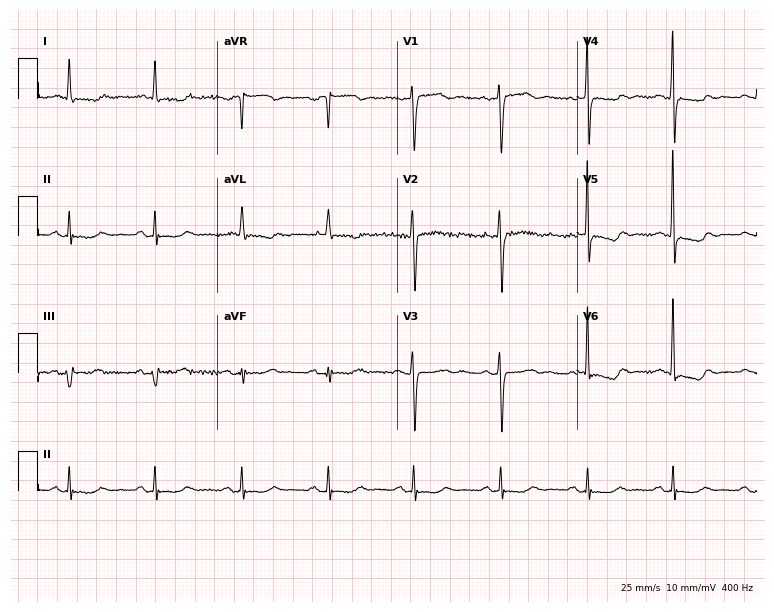
Standard 12-lead ECG recorded from a woman, 69 years old. None of these six findings is recorded: first-degree AV block, right bundle branch block (RBBB), left bundle branch block (LBBB), sinus bradycardia, atrial fibrillation (AF), sinus tachycardia.